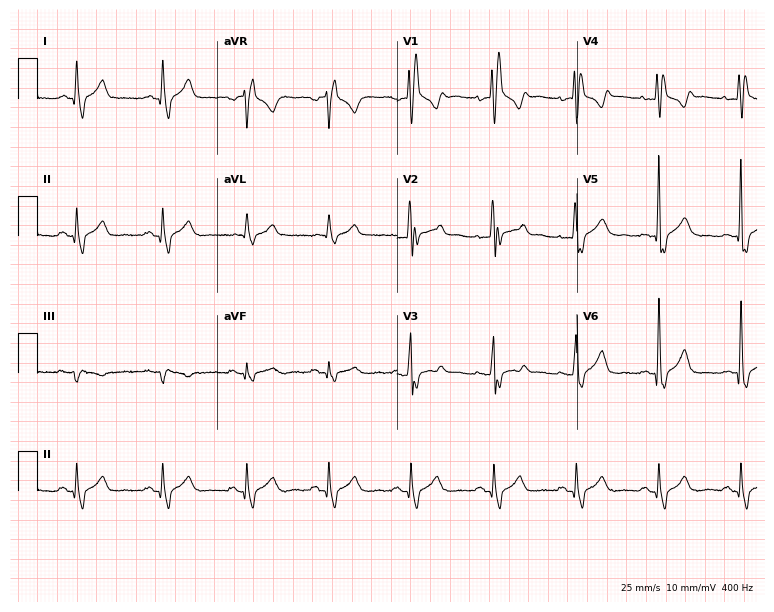
12-lead ECG from a 37-year-old female (7.3-second recording at 400 Hz). Shows right bundle branch block.